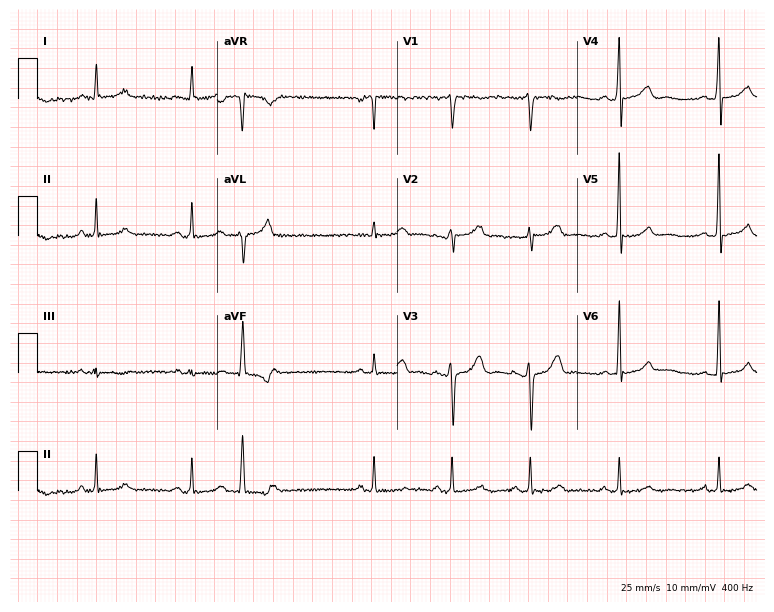
12-lead ECG from a male patient, 41 years old. Screened for six findings — first-degree AV block, right bundle branch block, left bundle branch block, sinus bradycardia, atrial fibrillation, sinus tachycardia — none is recorded. Other findings, if any, are not listed.